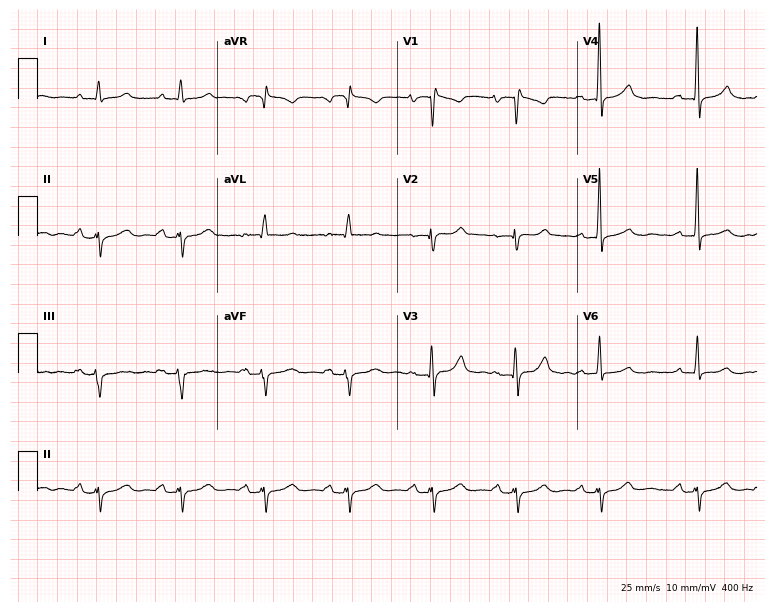
Resting 12-lead electrocardiogram (7.3-second recording at 400 Hz). Patient: a 71-year-old male. None of these six findings is recorded: first-degree AV block, right bundle branch block, left bundle branch block, sinus bradycardia, atrial fibrillation, sinus tachycardia.